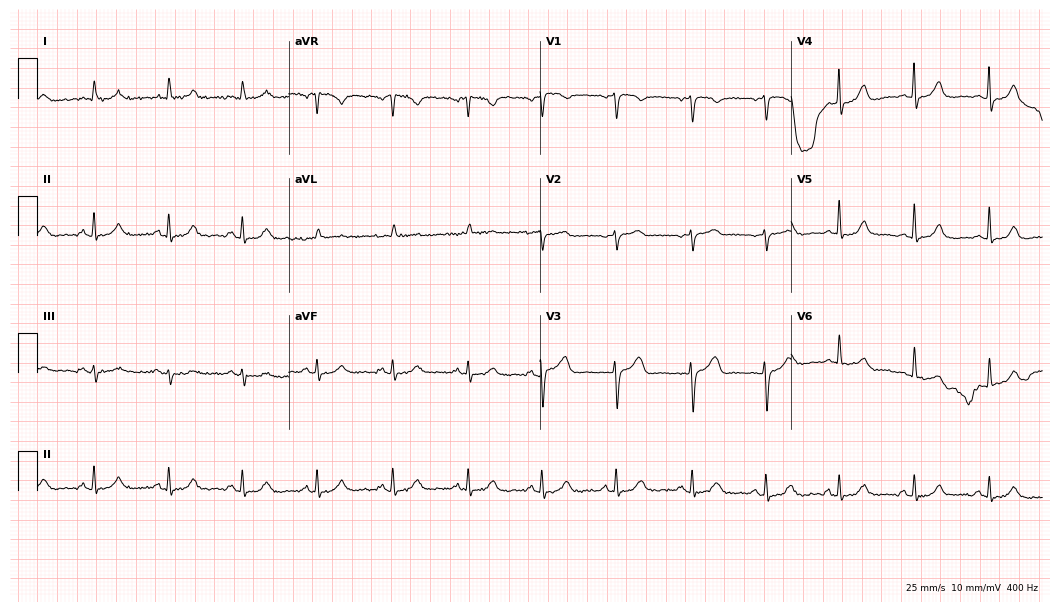
Electrocardiogram, a female patient, 74 years old. Overall reading on record: normal ECG.